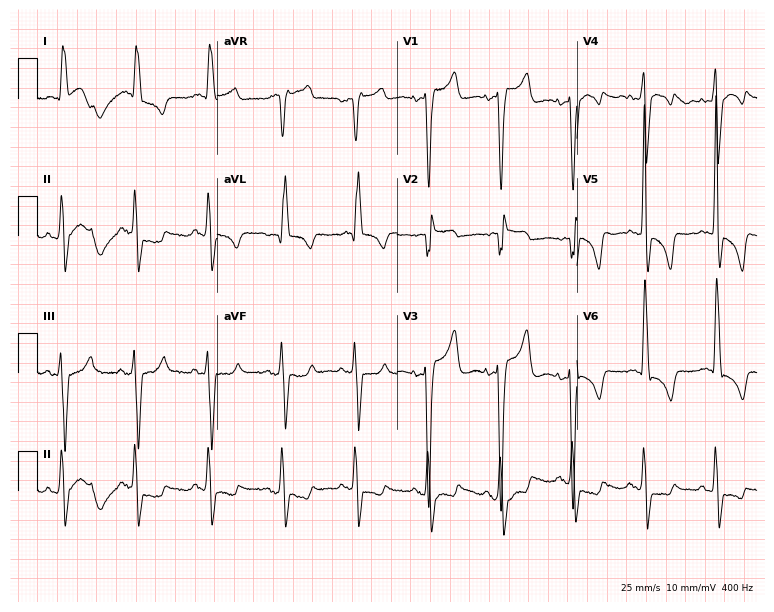
ECG (7.3-second recording at 400 Hz) — a 76-year-old male patient. Findings include right bundle branch block.